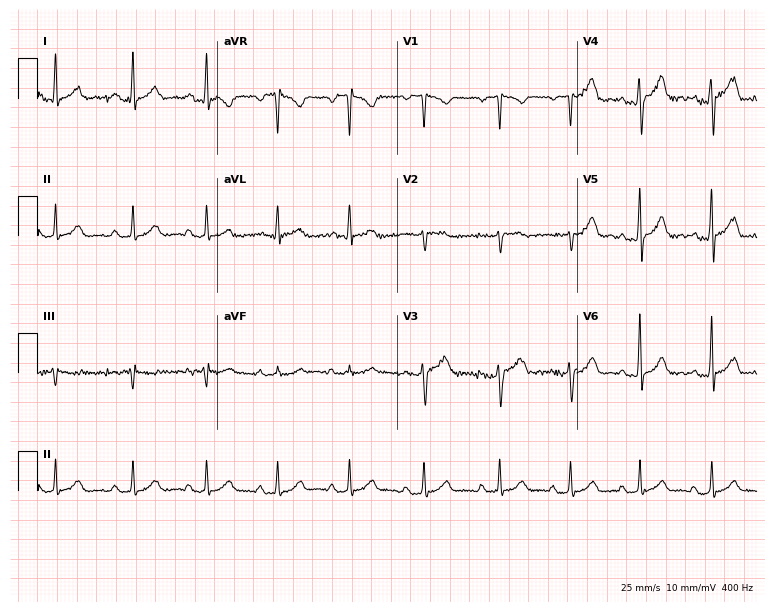
12-lead ECG from a female patient, 20 years old. Recorded interpretation: within normal limits.